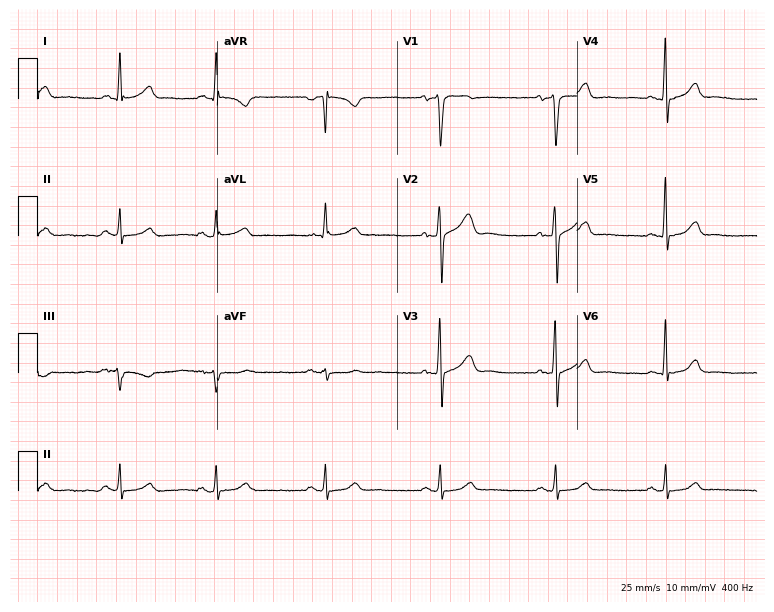
Resting 12-lead electrocardiogram (7.3-second recording at 400 Hz). Patient: a male, 63 years old. Read as a normal ECG.